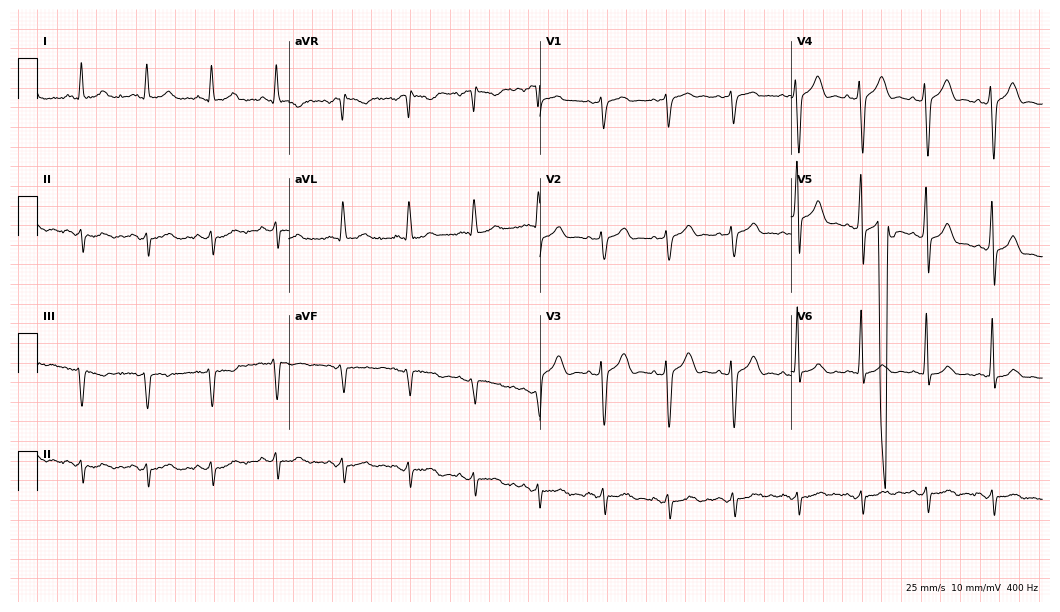
12-lead ECG from a 50-year-old female patient (10.2-second recording at 400 Hz). No first-degree AV block, right bundle branch block, left bundle branch block, sinus bradycardia, atrial fibrillation or sinus tachycardia recorded for this tracing. Only these six findings were labelled.